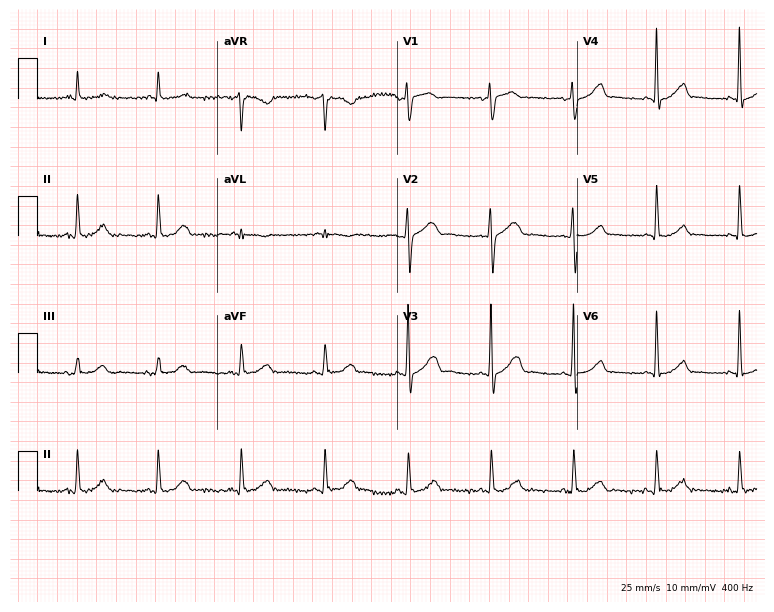
12-lead ECG from a female patient, 65 years old (7.3-second recording at 400 Hz). Recorded interpretation: within normal limits.